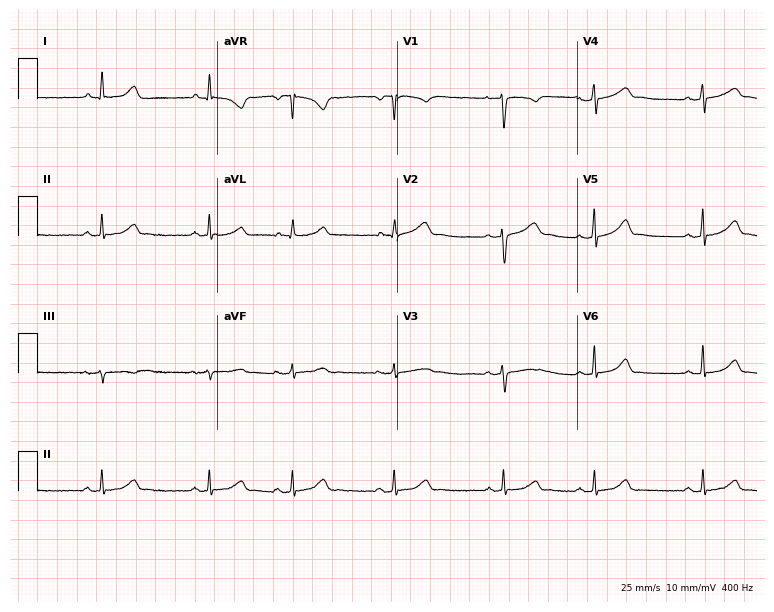
12-lead ECG (7.3-second recording at 400 Hz) from a 20-year-old female. Labelled as a normal ECG.